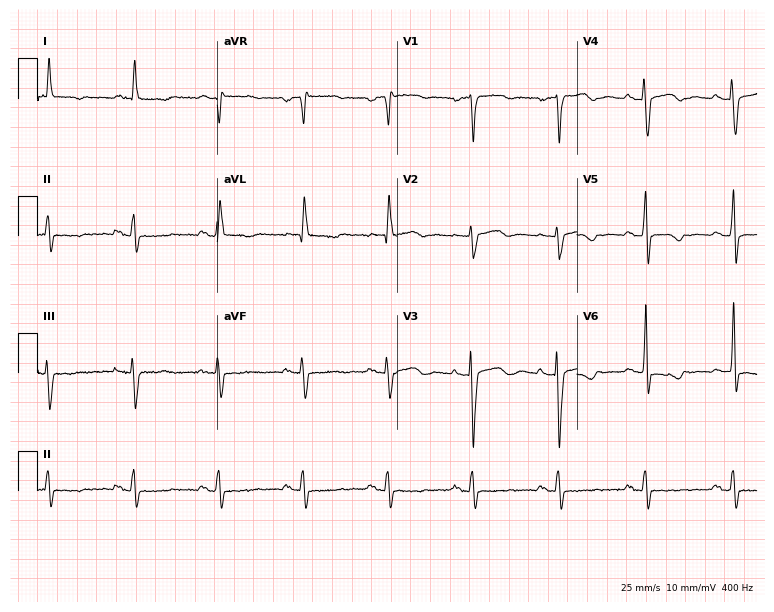
Electrocardiogram (7.3-second recording at 400 Hz), a female, 83 years old. Of the six screened findings (first-degree AV block, right bundle branch block (RBBB), left bundle branch block (LBBB), sinus bradycardia, atrial fibrillation (AF), sinus tachycardia), none is recorded. Only these six findings were labelled.